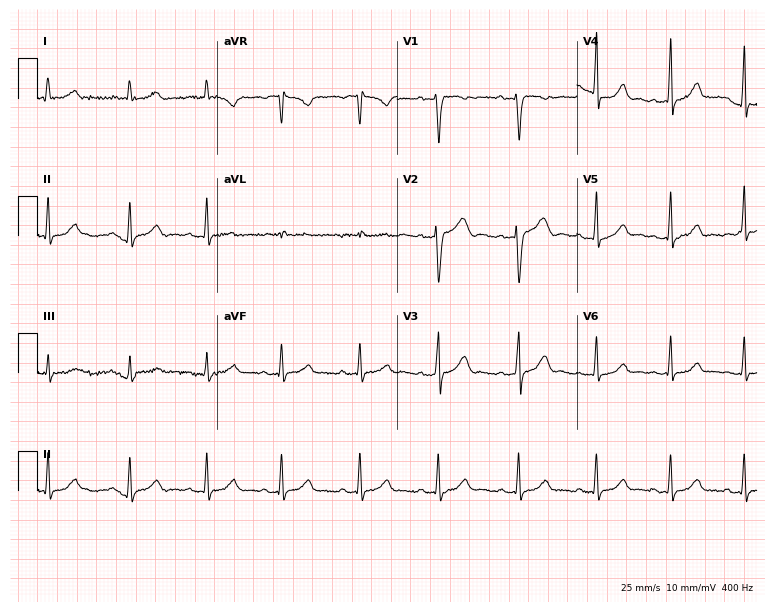
ECG (7.3-second recording at 400 Hz) — a female patient, 34 years old. Labelled as a normal ECG.